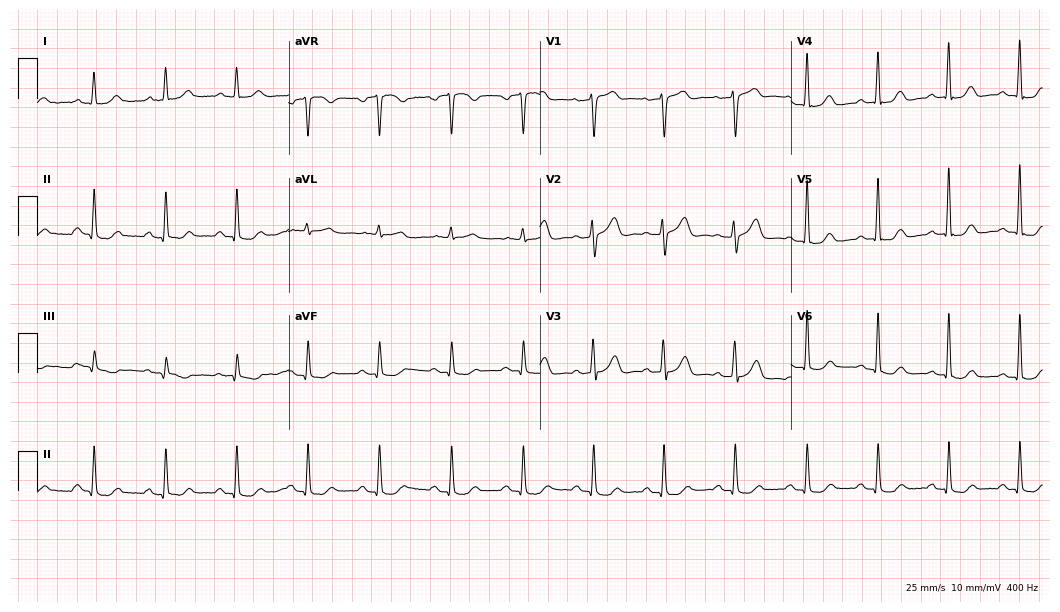
12-lead ECG from a 70-year-old male patient. Labelled as a normal ECG.